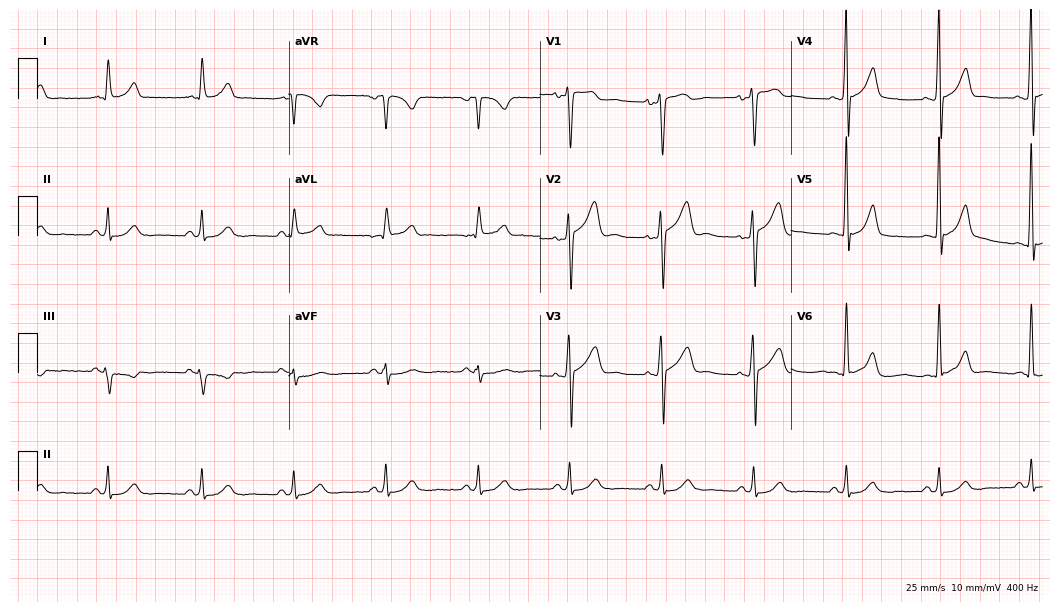
Electrocardiogram (10.2-second recording at 400 Hz), a man, 46 years old. Of the six screened findings (first-degree AV block, right bundle branch block, left bundle branch block, sinus bradycardia, atrial fibrillation, sinus tachycardia), none is recorded. Findings outside these six are not listed.